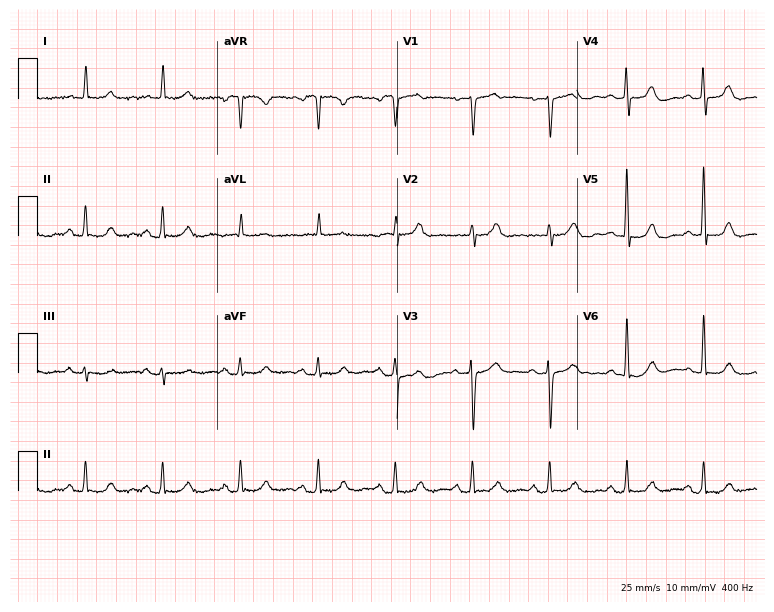
12-lead ECG from a female, 77 years old (7.3-second recording at 400 Hz). Recorded interpretation: within normal limits.